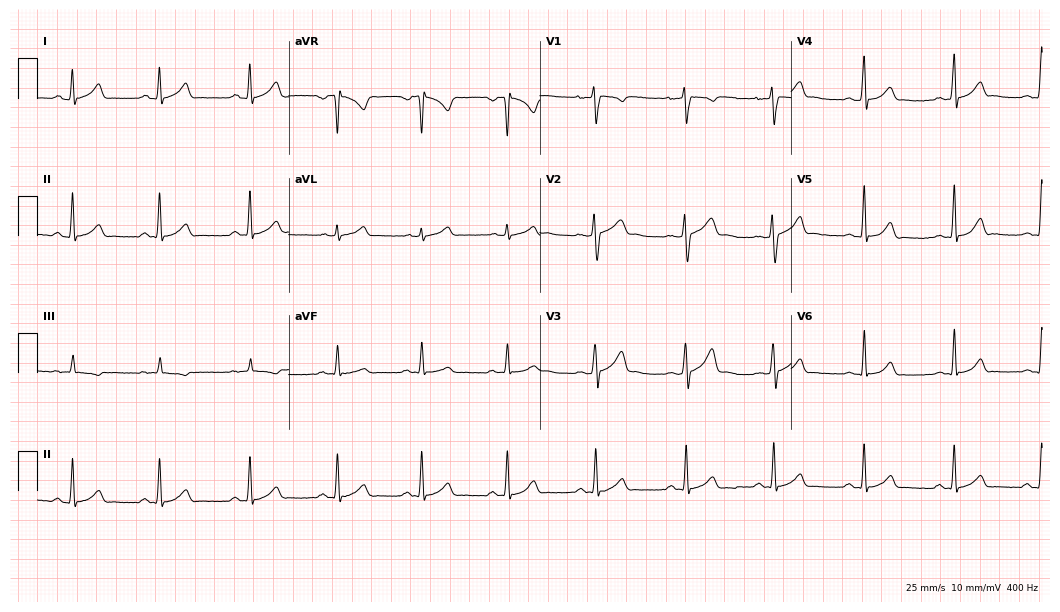
Resting 12-lead electrocardiogram (10.2-second recording at 400 Hz). Patient: an 18-year-old woman. Read as a normal ECG.